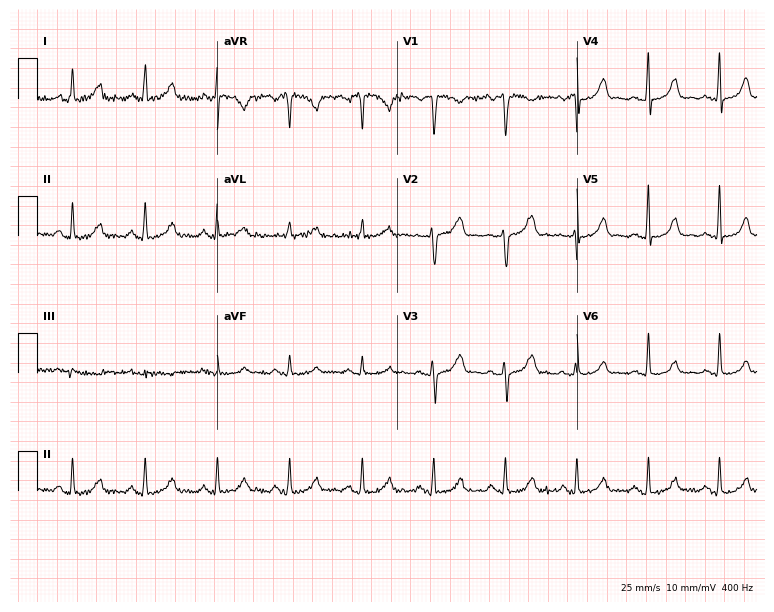
12-lead ECG from a woman, 50 years old (7.3-second recording at 400 Hz). No first-degree AV block, right bundle branch block, left bundle branch block, sinus bradycardia, atrial fibrillation or sinus tachycardia recorded for this tracing. Other findings, if any, are not listed.